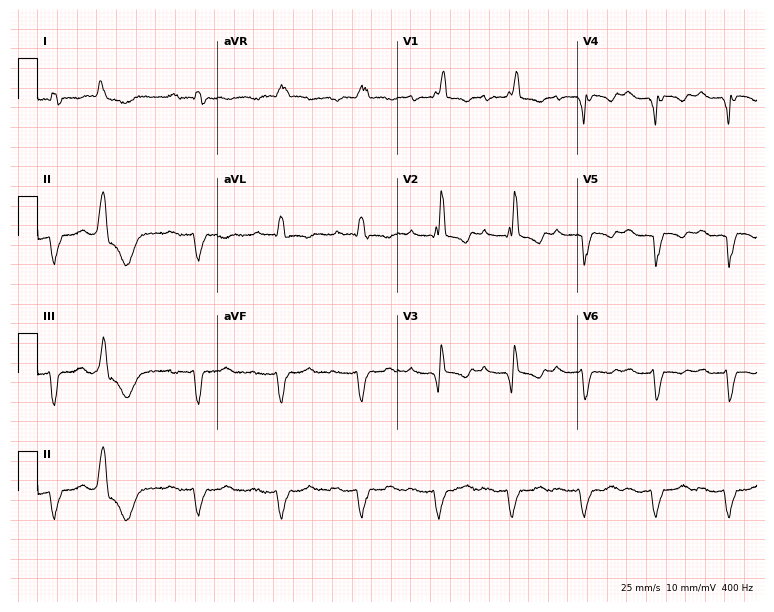
12-lead ECG from a man, 77 years old (7.3-second recording at 400 Hz). Shows first-degree AV block, right bundle branch block.